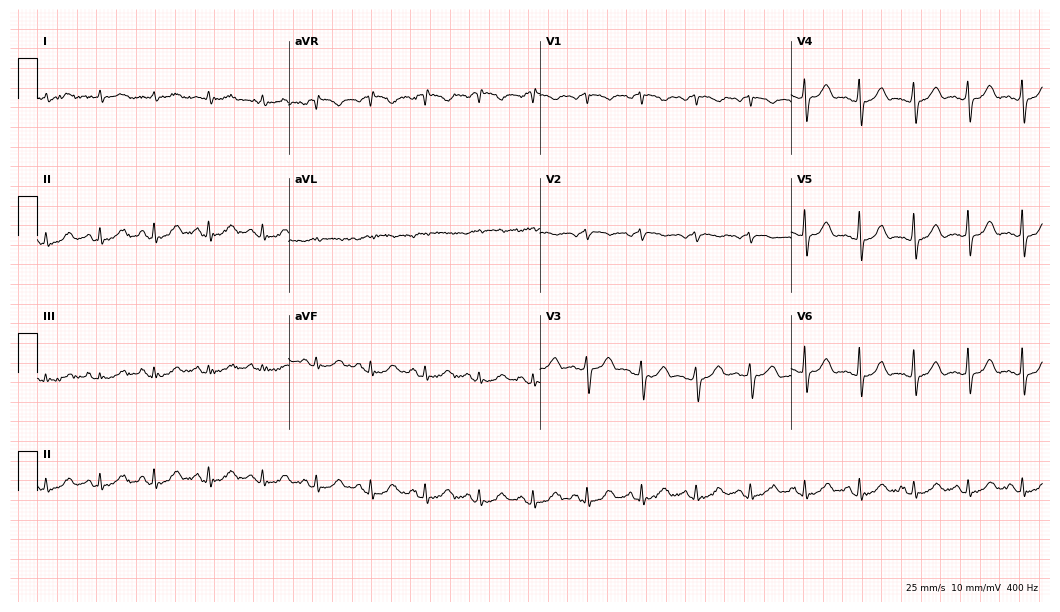
12-lead ECG from a 78-year-old male. Findings include sinus tachycardia (a sinus rate of 100 beats per minute or more).